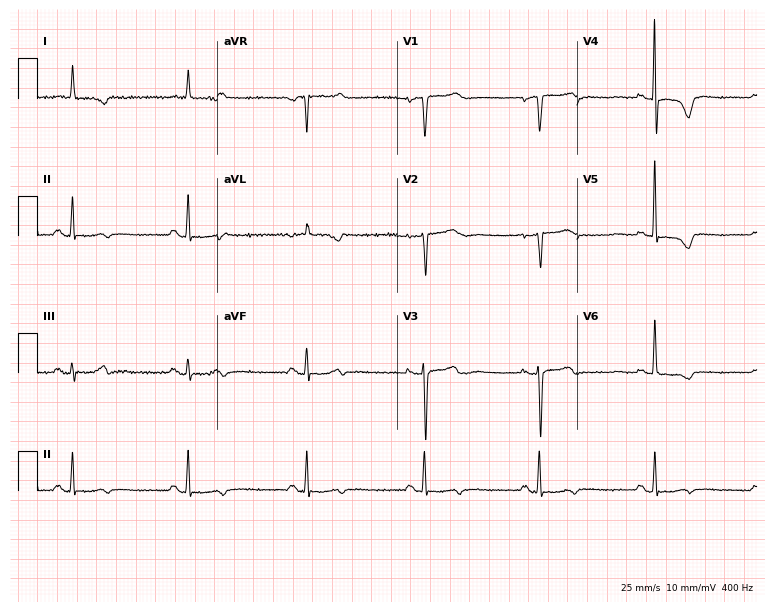
12-lead ECG from an 80-year-old female. Screened for six findings — first-degree AV block, right bundle branch block, left bundle branch block, sinus bradycardia, atrial fibrillation, sinus tachycardia — none is recorded.